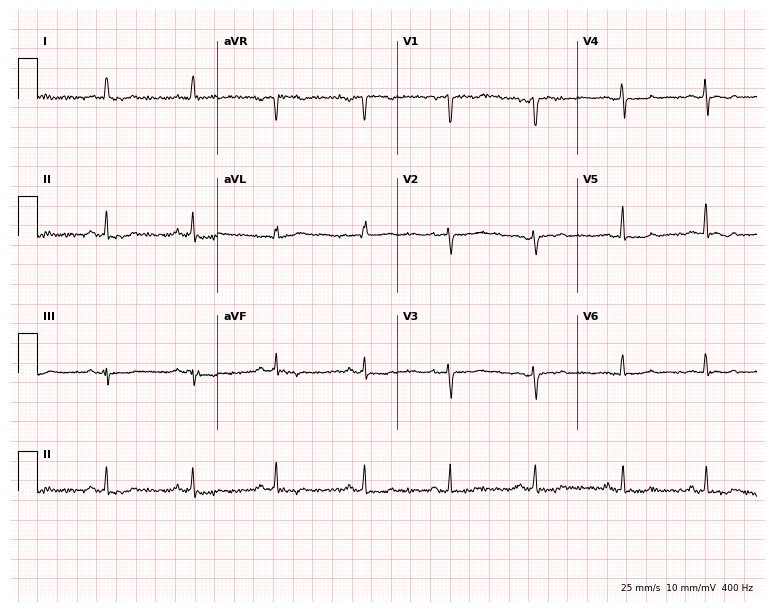
12-lead ECG from a woman, 52 years old (7.3-second recording at 400 Hz). Recorded interpretation: within normal limits.